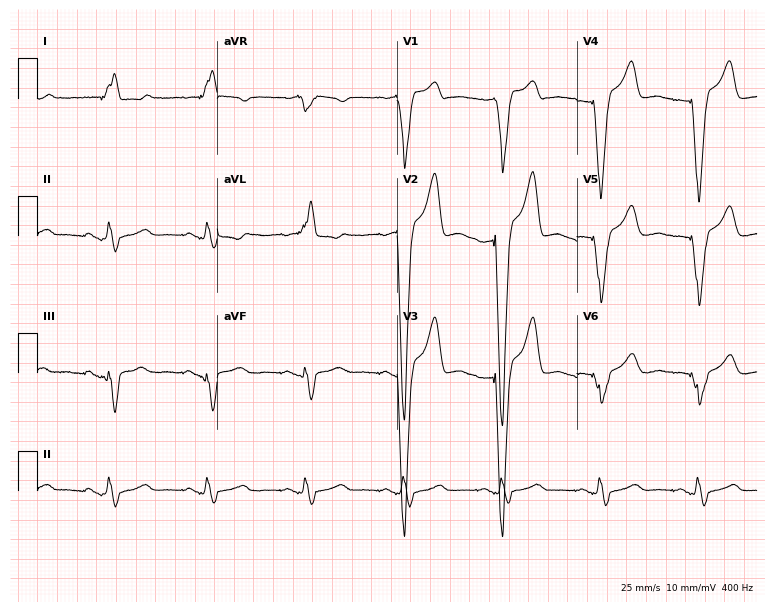
Resting 12-lead electrocardiogram. Patient: a woman, 57 years old. None of these six findings is recorded: first-degree AV block, right bundle branch block (RBBB), left bundle branch block (LBBB), sinus bradycardia, atrial fibrillation (AF), sinus tachycardia.